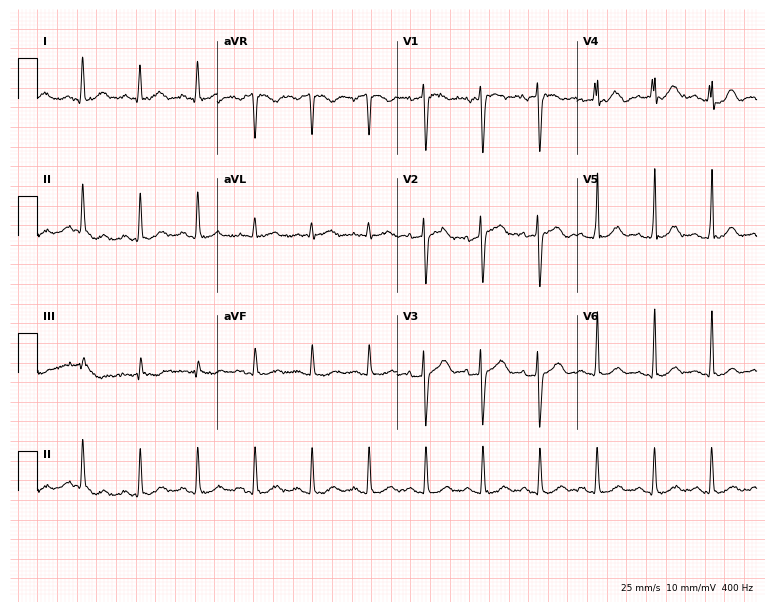
12-lead ECG from a 46-year-old female patient. Screened for six findings — first-degree AV block, right bundle branch block (RBBB), left bundle branch block (LBBB), sinus bradycardia, atrial fibrillation (AF), sinus tachycardia — none is recorded.